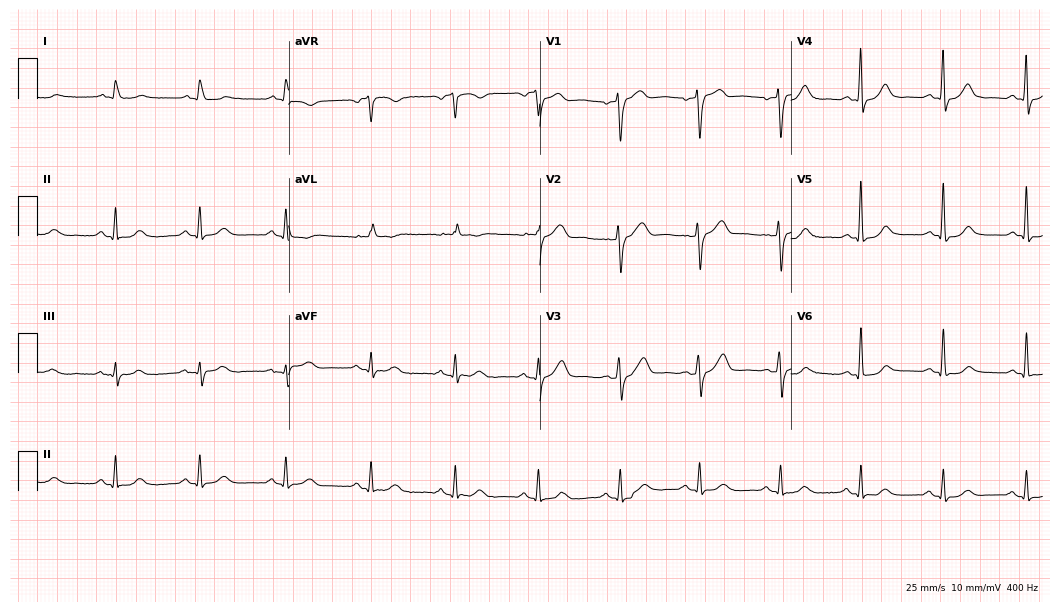
Standard 12-lead ECG recorded from a male, 82 years old (10.2-second recording at 400 Hz). Read as a normal ECG.